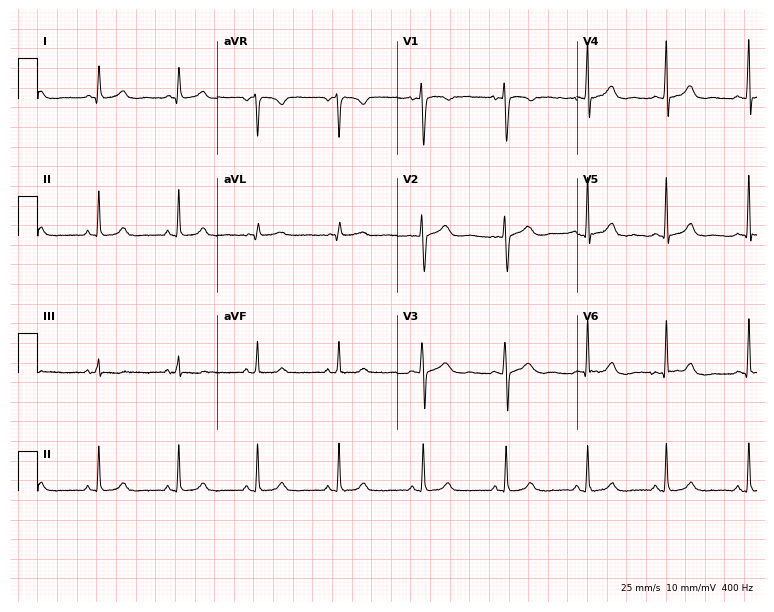
12-lead ECG from a 33-year-old female. Recorded interpretation: within normal limits.